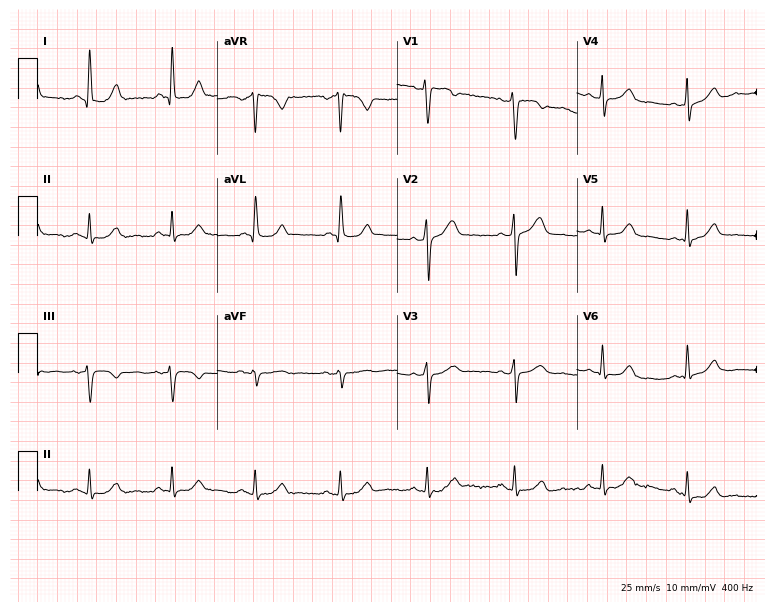
Standard 12-lead ECG recorded from a 63-year-old female patient (7.3-second recording at 400 Hz). None of these six findings is recorded: first-degree AV block, right bundle branch block (RBBB), left bundle branch block (LBBB), sinus bradycardia, atrial fibrillation (AF), sinus tachycardia. Only these six findings were labelled.